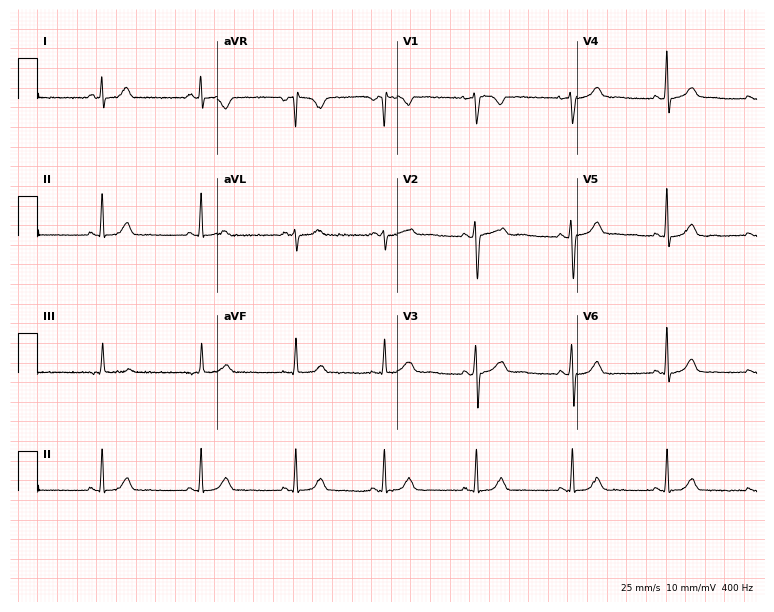
ECG (7.3-second recording at 400 Hz) — a 33-year-old woman. Labelled as a normal ECG.